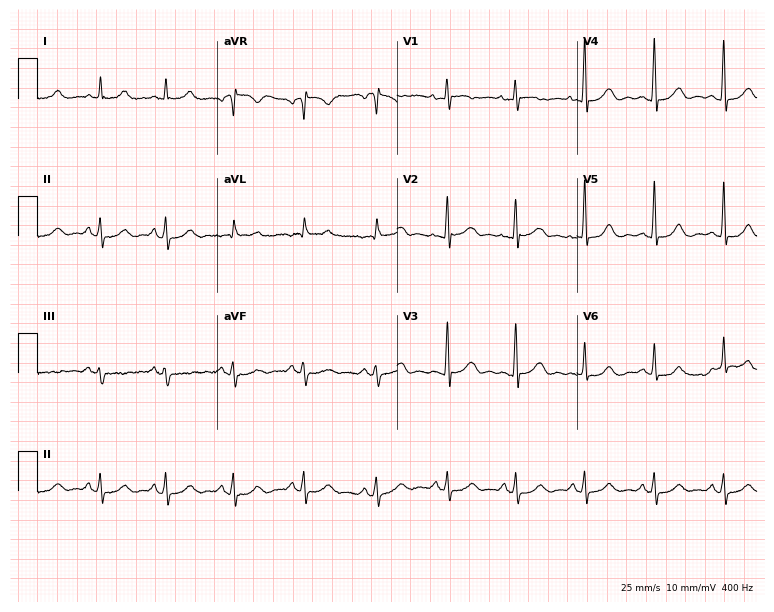
12-lead ECG from a female patient, 57 years old. Screened for six findings — first-degree AV block, right bundle branch block, left bundle branch block, sinus bradycardia, atrial fibrillation, sinus tachycardia — none is recorded. Only these six findings were labelled.